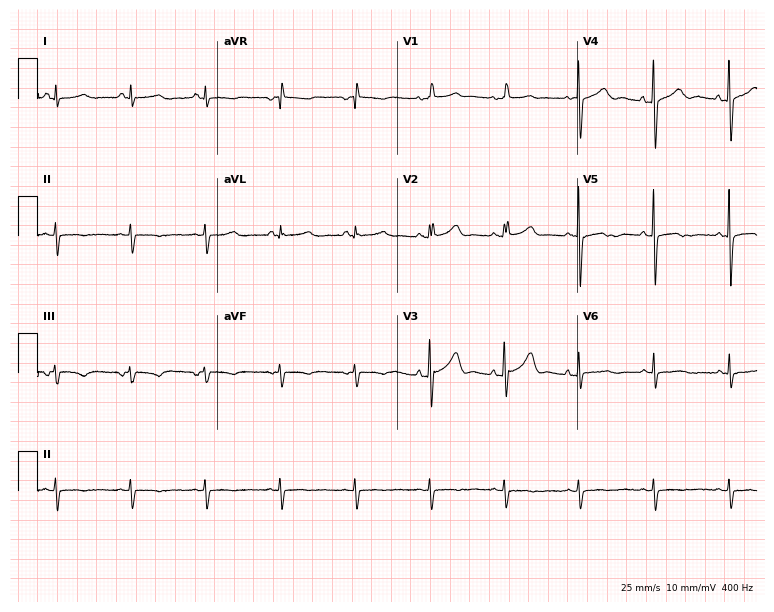
12-lead ECG (7.3-second recording at 400 Hz) from a male patient, 56 years old. Screened for six findings — first-degree AV block, right bundle branch block, left bundle branch block, sinus bradycardia, atrial fibrillation, sinus tachycardia — none is recorded.